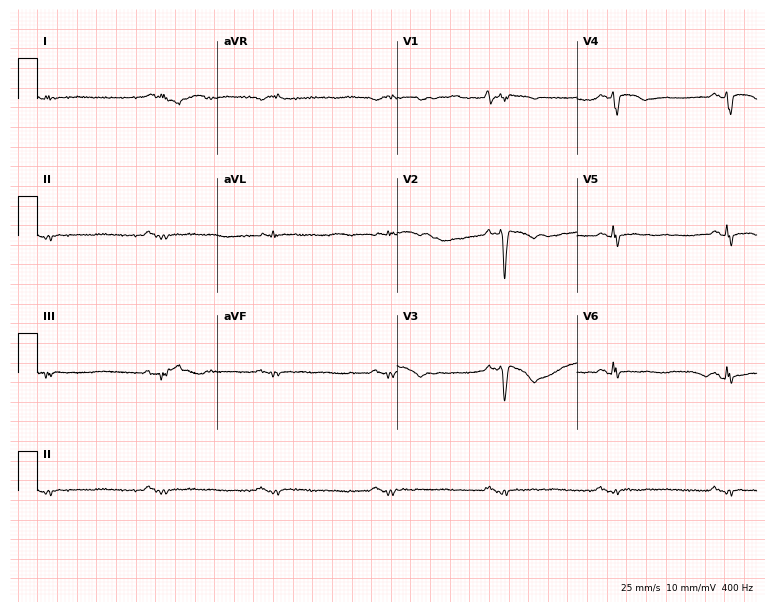
ECG (7.3-second recording at 400 Hz) — a male patient, 47 years old. Screened for six findings — first-degree AV block, right bundle branch block, left bundle branch block, sinus bradycardia, atrial fibrillation, sinus tachycardia — none is recorded. Other findings, if any, are not listed.